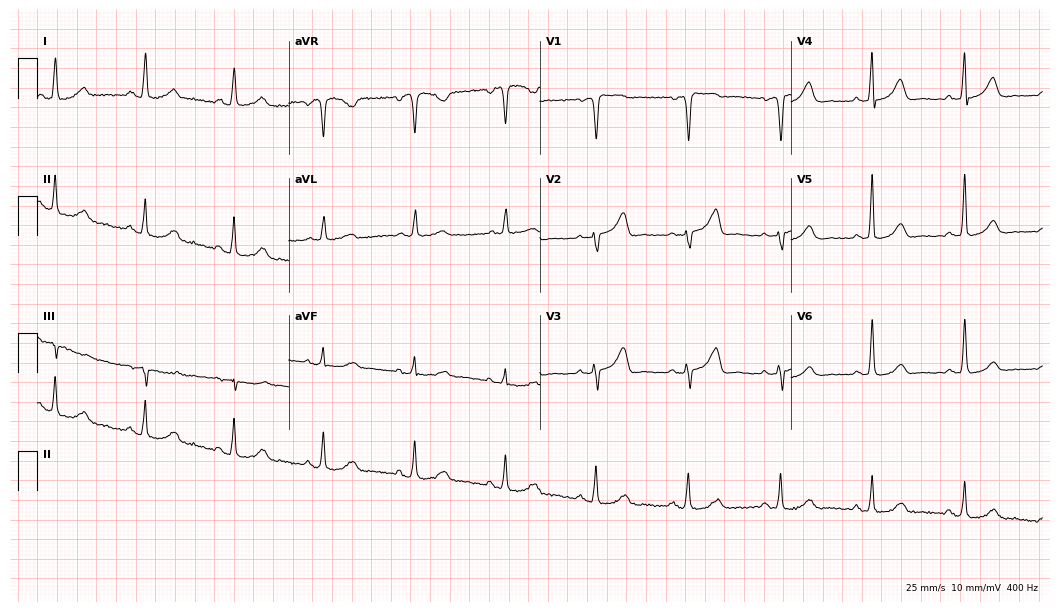
Standard 12-lead ECG recorded from a 75-year-old woman (10.2-second recording at 400 Hz). None of these six findings is recorded: first-degree AV block, right bundle branch block (RBBB), left bundle branch block (LBBB), sinus bradycardia, atrial fibrillation (AF), sinus tachycardia. Findings outside these six are not listed.